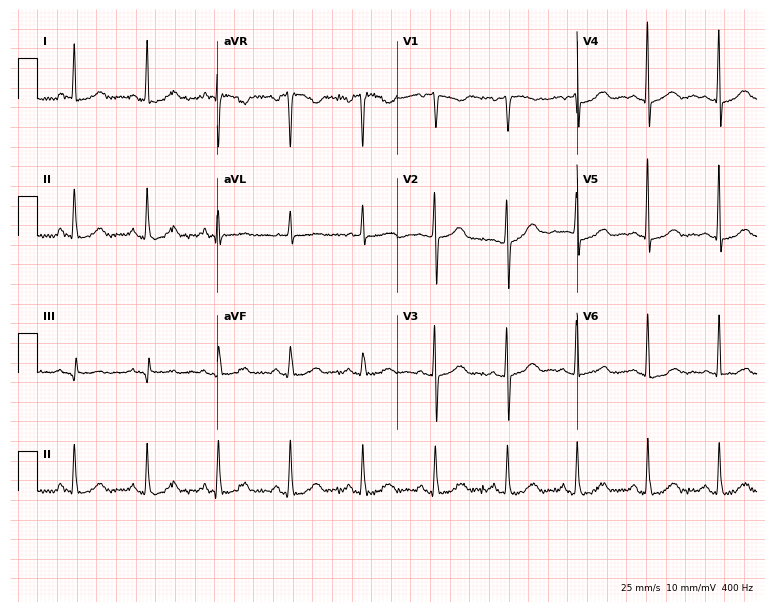
12-lead ECG from a 67-year-old female patient. Screened for six findings — first-degree AV block, right bundle branch block, left bundle branch block, sinus bradycardia, atrial fibrillation, sinus tachycardia — none is recorded. Other findings, if any, are not listed.